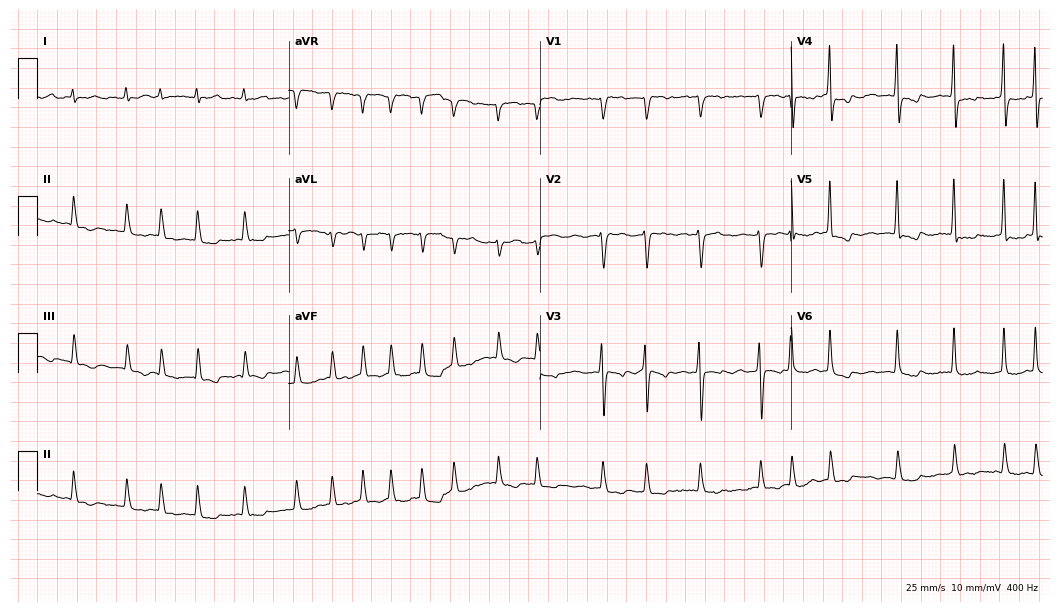
Electrocardiogram, a 75-year-old woman. Interpretation includes atrial fibrillation.